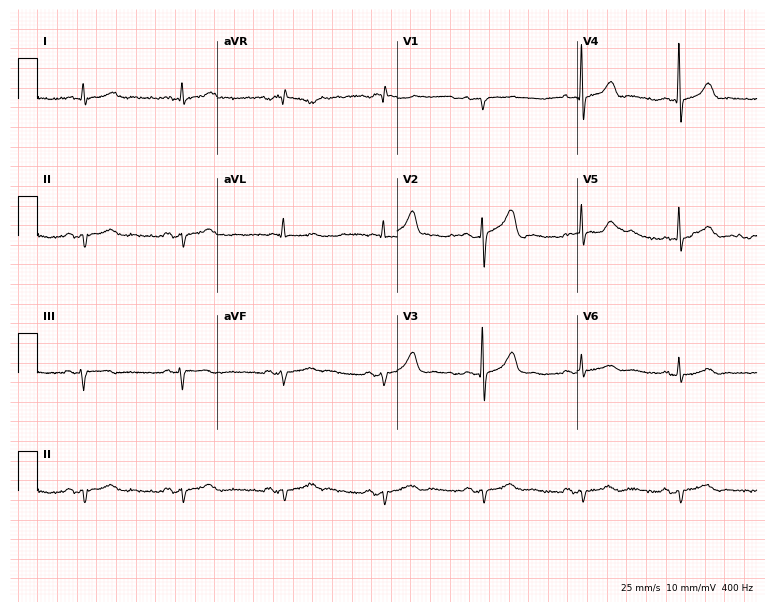
Electrocardiogram (7.3-second recording at 400 Hz), a male patient, 72 years old. Of the six screened findings (first-degree AV block, right bundle branch block (RBBB), left bundle branch block (LBBB), sinus bradycardia, atrial fibrillation (AF), sinus tachycardia), none is recorded. Other findings, if any, are not listed.